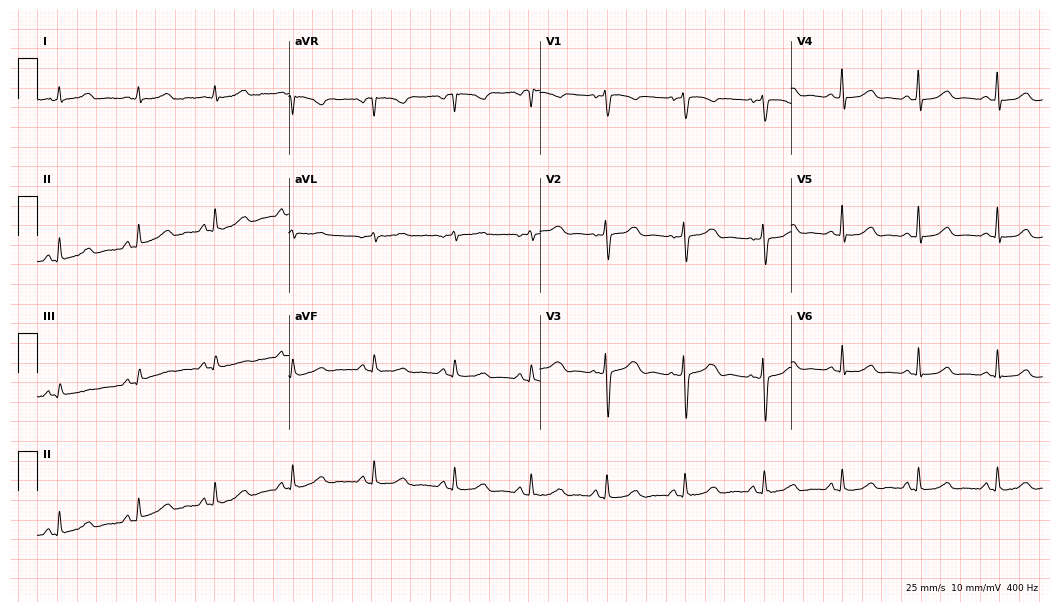
Electrocardiogram, a 34-year-old female. Overall reading on record: normal ECG.